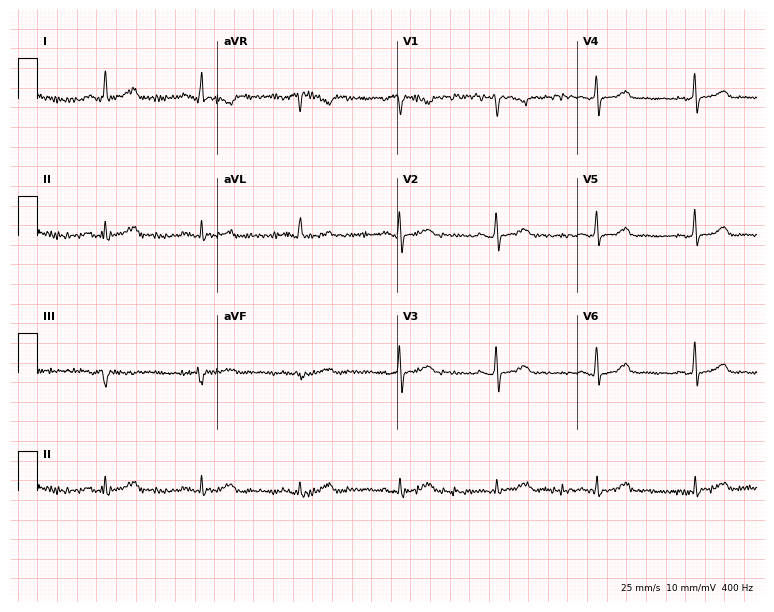
Electrocardiogram (7.3-second recording at 400 Hz), a female patient, 45 years old. Overall reading on record: normal ECG.